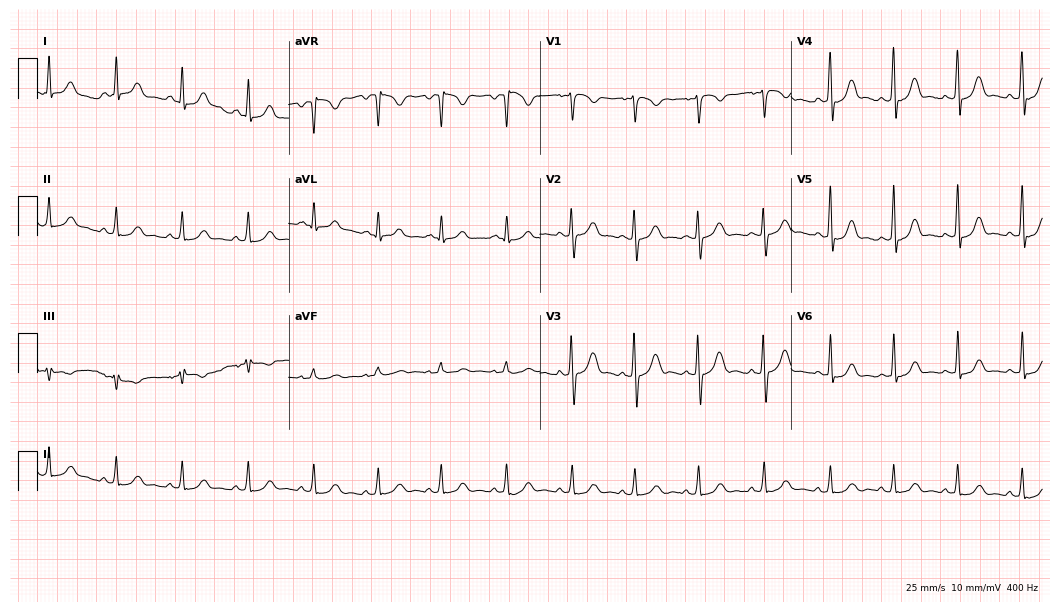
12-lead ECG from an 18-year-old female. Recorded interpretation: within normal limits.